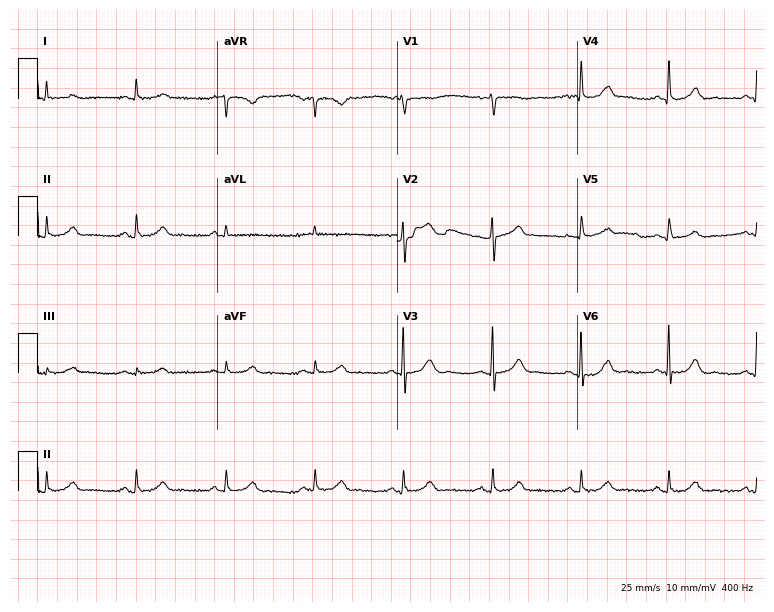
12-lead ECG (7.3-second recording at 400 Hz) from a man, 77 years old. Screened for six findings — first-degree AV block, right bundle branch block, left bundle branch block, sinus bradycardia, atrial fibrillation, sinus tachycardia — none is recorded. Other findings, if any, are not listed.